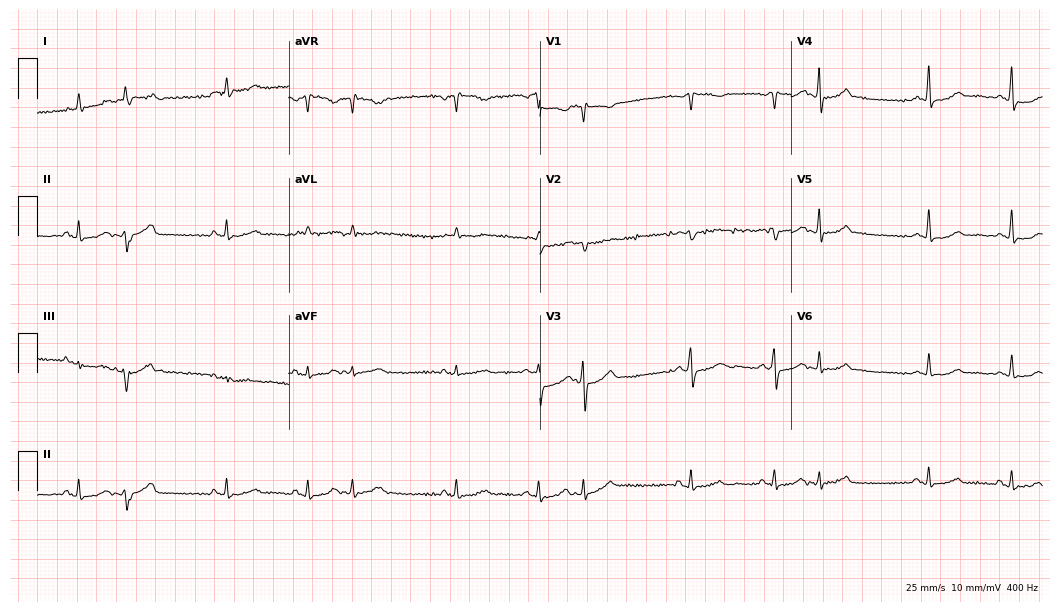
Standard 12-lead ECG recorded from a 62-year-old woman. None of these six findings is recorded: first-degree AV block, right bundle branch block, left bundle branch block, sinus bradycardia, atrial fibrillation, sinus tachycardia.